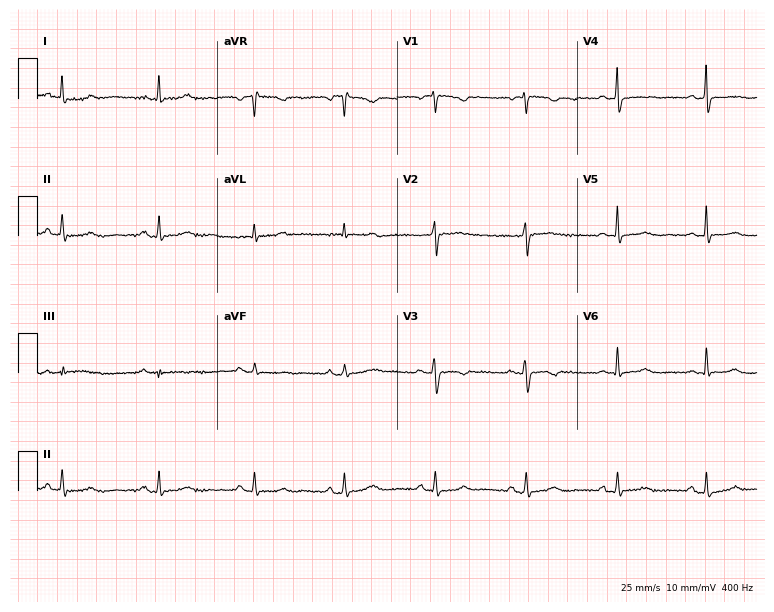
Electrocardiogram, a 39-year-old female. Overall reading on record: normal ECG.